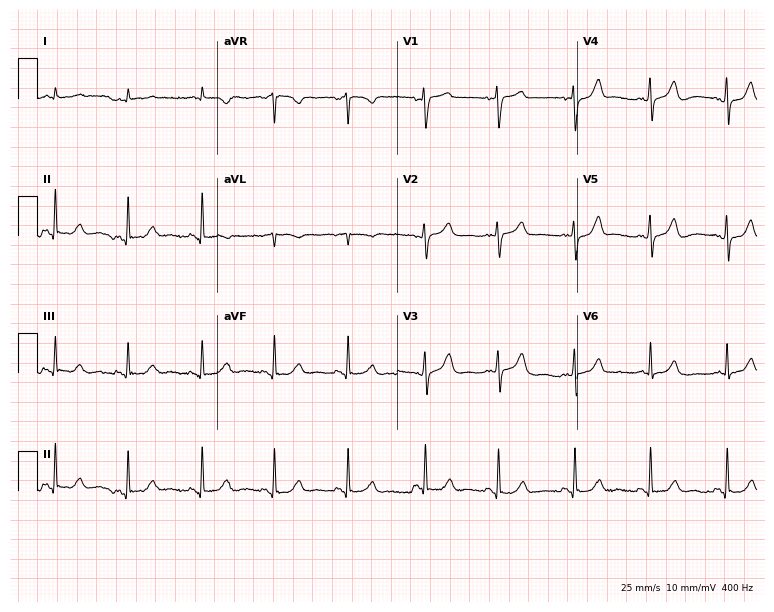
Resting 12-lead electrocardiogram (7.3-second recording at 400 Hz). Patient: a 66-year-old male. None of these six findings is recorded: first-degree AV block, right bundle branch block, left bundle branch block, sinus bradycardia, atrial fibrillation, sinus tachycardia.